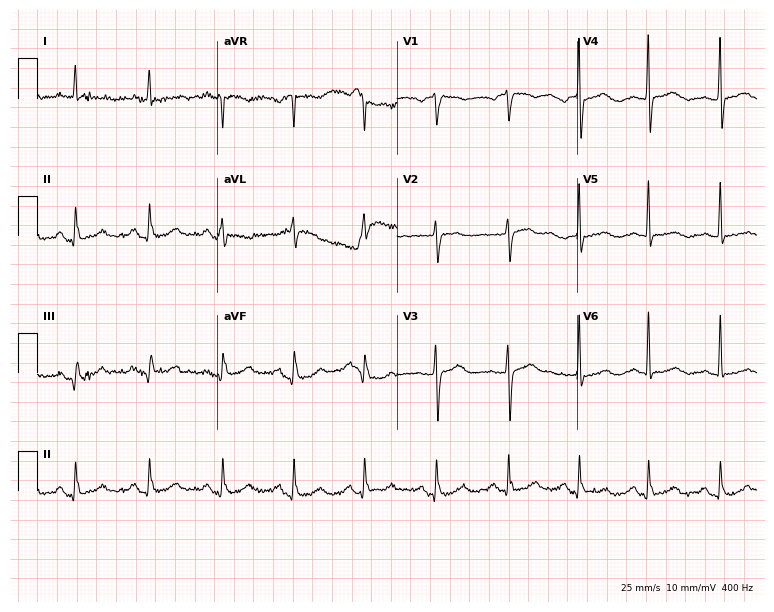
Resting 12-lead electrocardiogram. Patient: a woman, 73 years old. None of these six findings is recorded: first-degree AV block, right bundle branch block, left bundle branch block, sinus bradycardia, atrial fibrillation, sinus tachycardia. Other findings, if any, are not listed.